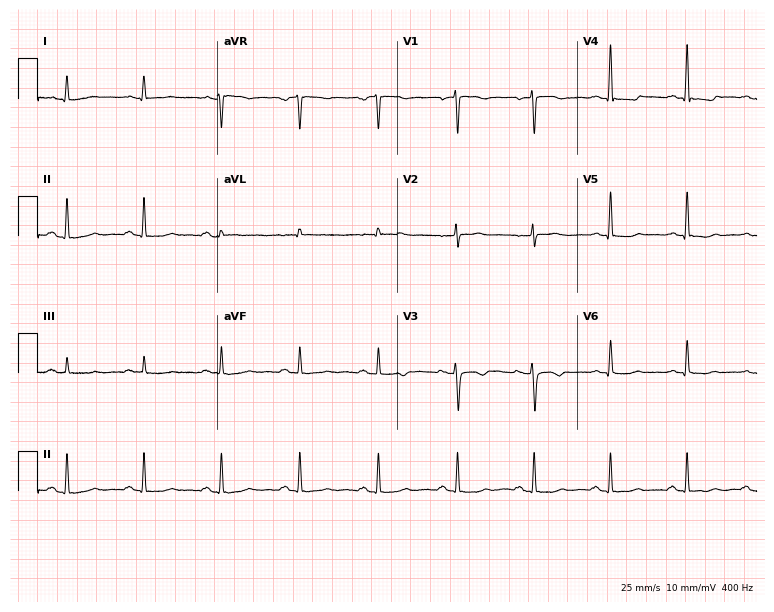
12-lead ECG from a 41-year-old female. Screened for six findings — first-degree AV block, right bundle branch block, left bundle branch block, sinus bradycardia, atrial fibrillation, sinus tachycardia — none is recorded. Findings outside these six are not listed.